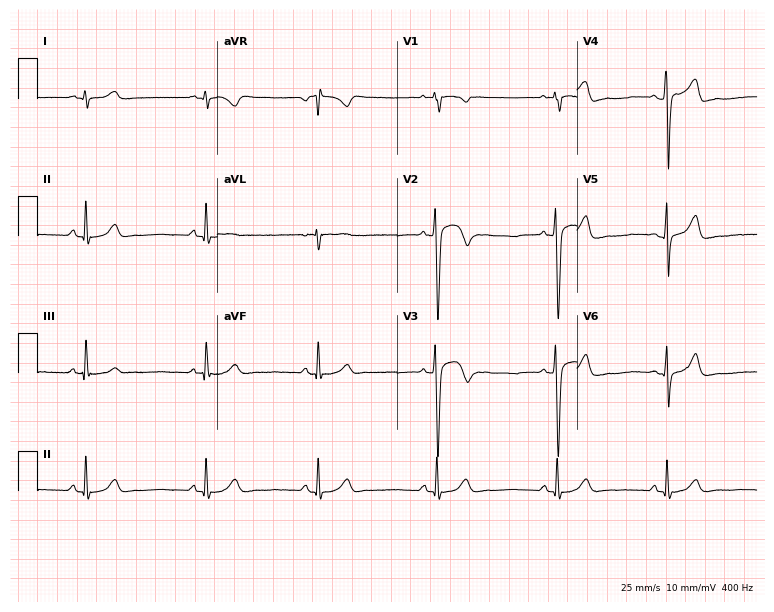
ECG (7.3-second recording at 400 Hz) — a male patient, 36 years old. Screened for six findings — first-degree AV block, right bundle branch block, left bundle branch block, sinus bradycardia, atrial fibrillation, sinus tachycardia — none is recorded. Findings outside these six are not listed.